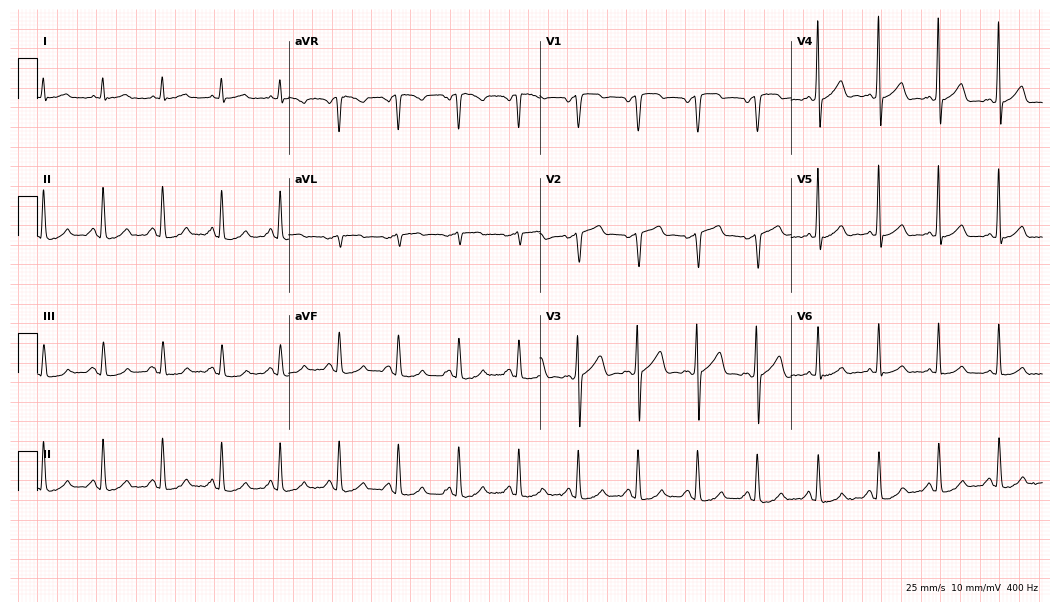
12-lead ECG from a man, 66 years old. No first-degree AV block, right bundle branch block (RBBB), left bundle branch block (LBBB), sinus bradycardia, atrial fibrillation (AF) or sinus tachycardia recorded for this tracing. Findings outside these six are not listed.